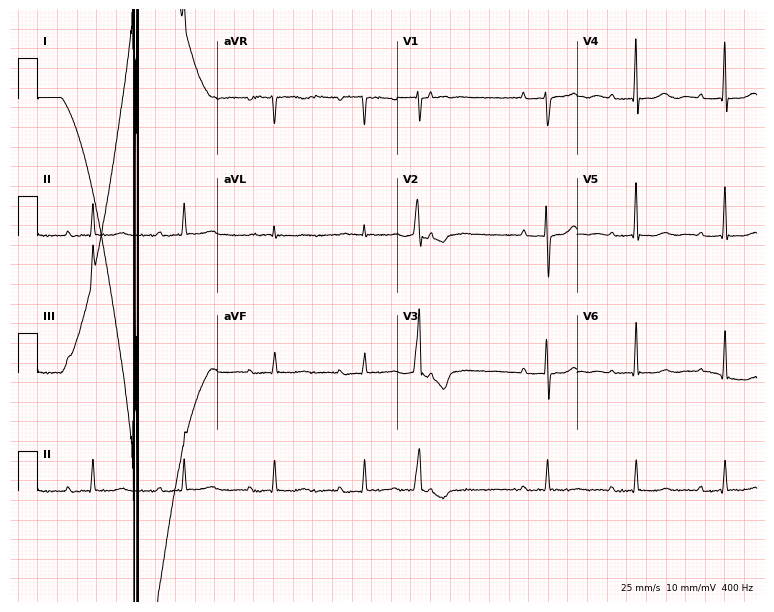
ECG (7.3-second recording at 400 Hz) — a man, 80 years old. Findings include first-degree AV block.